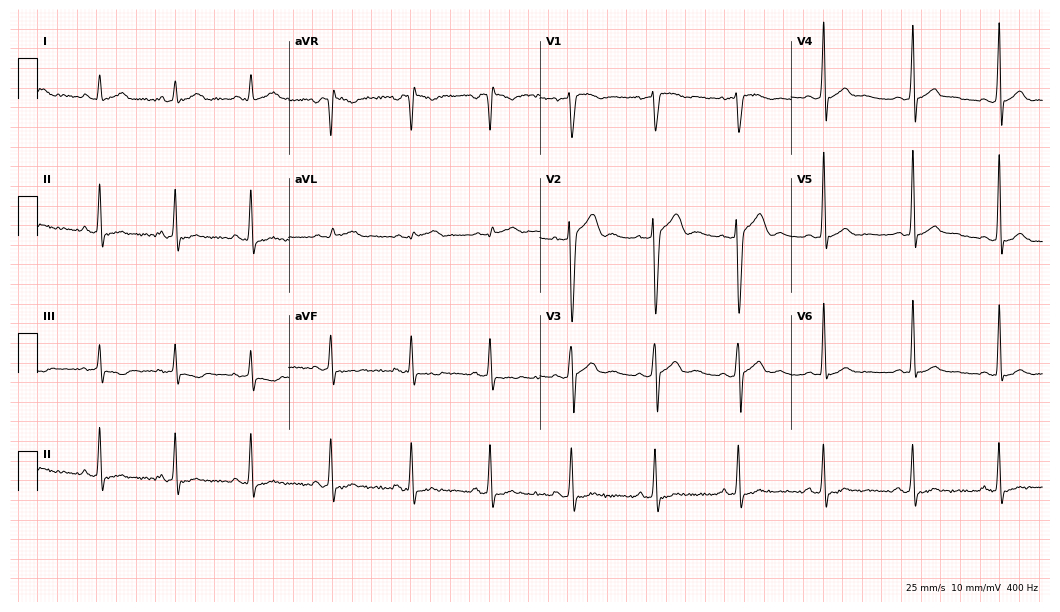
12-lead ECG from a 25-year-old male patient (10.2-second recording at 400 Hz). No first-degree AV block, right bundle branch block, left bundle branch block, sinus bradycardia, atrial fibrillation or sinus tachycardia recorded for this tracing.